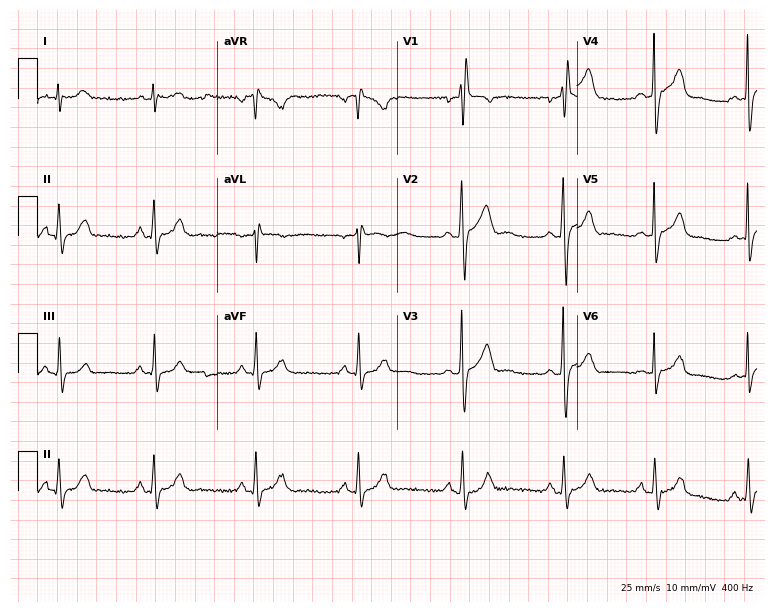
Resting 12-lead electrocardiogram. Patient: a 40-year-old male. None of these six findings is recorded: first-degree AV block, right bundle branch block (RBBB), left bundle branch block (LBBB), sinus bradycardia, atrial fibrillation (AF), sinus tachycardia.